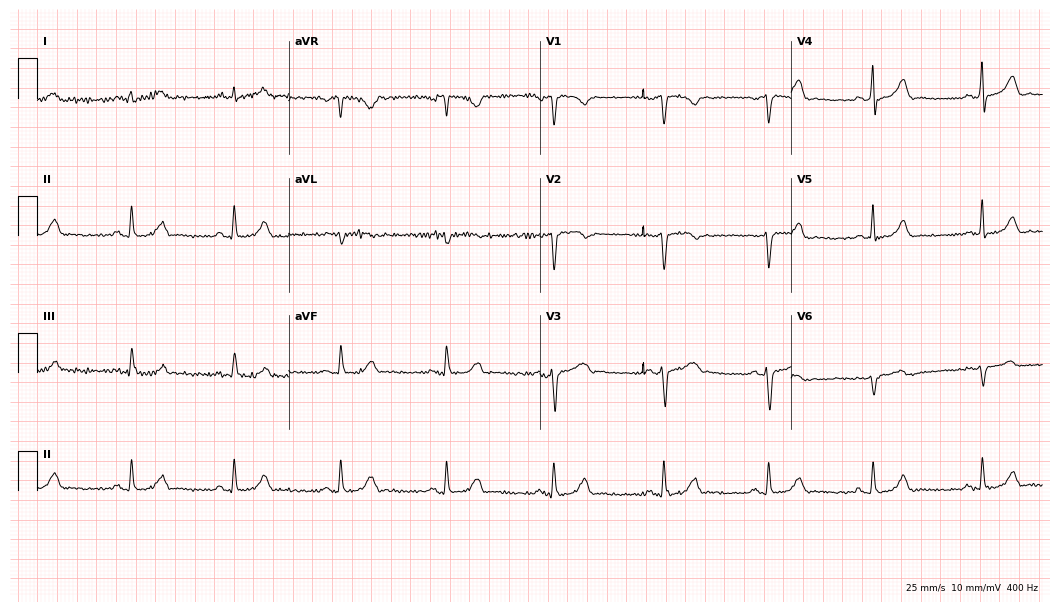
ECG (10.2-second recording at 400 Hz) — a 49-year-old male patient. Screened for six findings — first-degree AV block, right bundle branch block, left bundle branch block, sinus bradycardia, atrial fibrillation, sinus tachycardia — none is recorded.